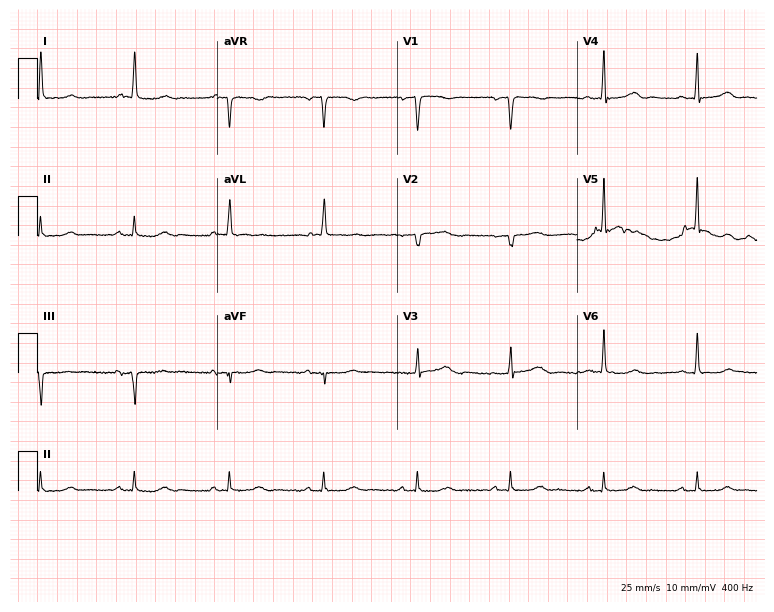
Electrocardiogram, a 70-year-old female patient. Overall reading on record: normal ECG.